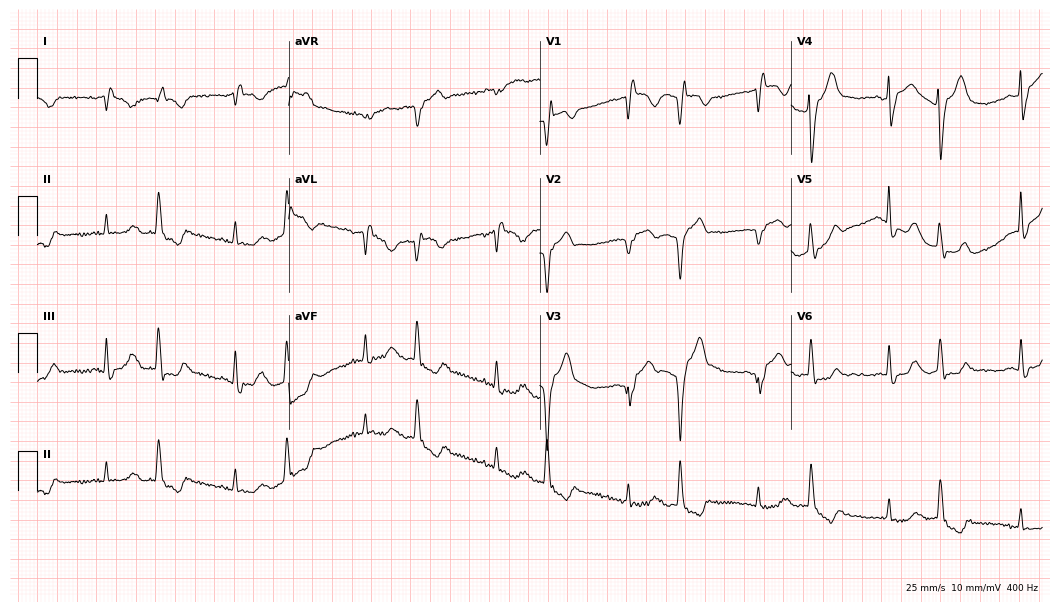
12-lead ECG from a female, 79 years old. No first-degree AV block, right bundle branch block (RBBB), left bundle branch block (LBBB), sinus bradycardia, atrial fibrillation (AF) or sinus tachycardia recorded for this tracing.